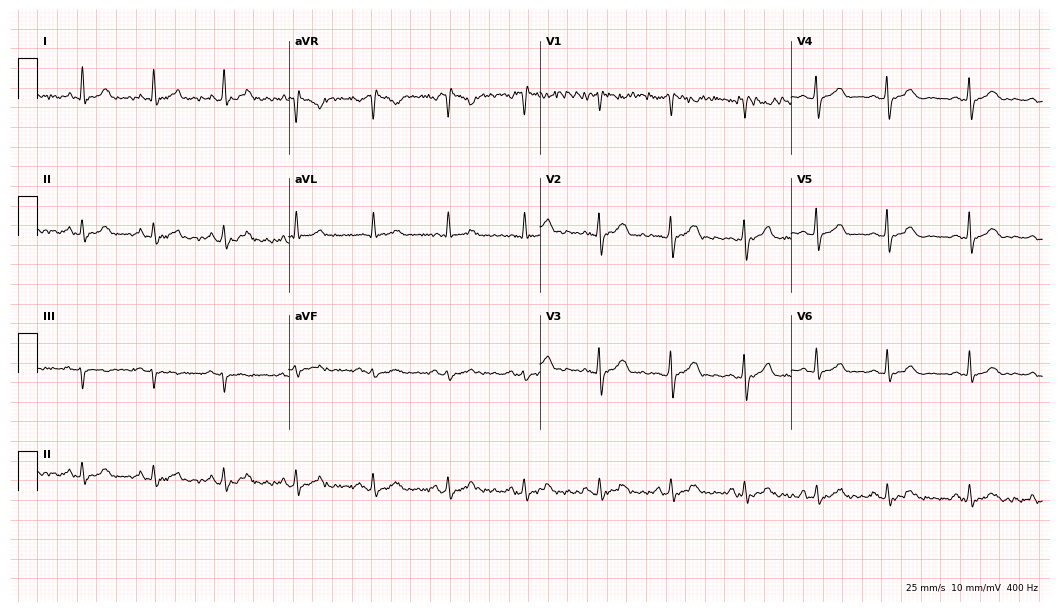
Electrocardiogram (10.2-second recording at 400 Hz), a 52-year-old female. Overall reading on record: normal ECG.